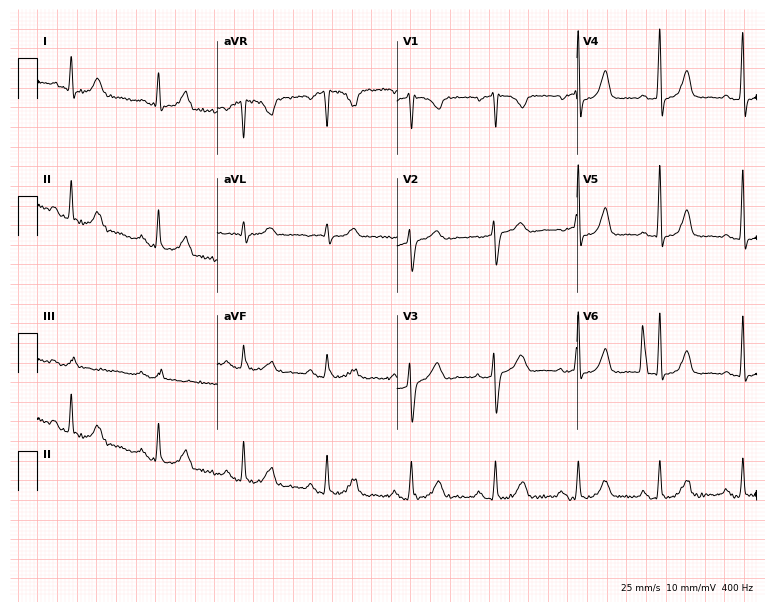
Standard 12-lead ECG recorded from a 55-year-old female patient. None of these six findings is recorded: first-degree AV block, right bundle branch block, left bundle branch block, sinus bradycardia, atrial fibrillation, sinus tachycardia. Other findings, if any, are not listed.